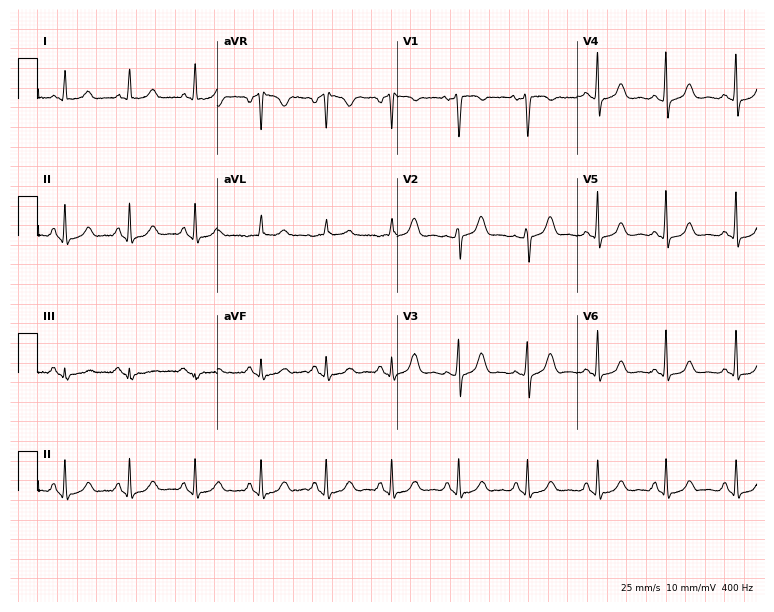
12-lead ECG from a 44-year-old female patient. No first-degree AV block, right bundle branch block (RBBB), left bundle branch block (LBBB), sinus bradycardia, atrial fibrillation (AF) or sinus tachycardia recorded for this tracing.